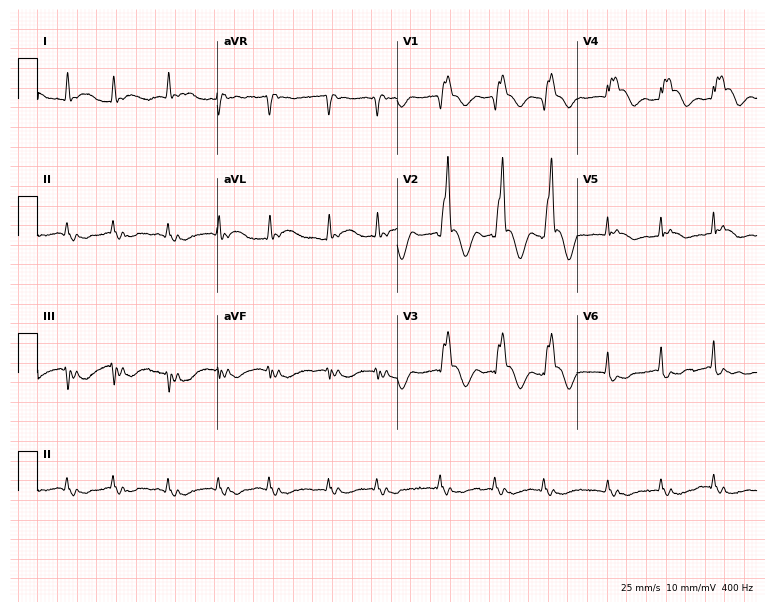
Standard 12-lead ECG recorded from an 83-year-old male patient. The tracing shows right bundle branch block, atrial fibrillation.